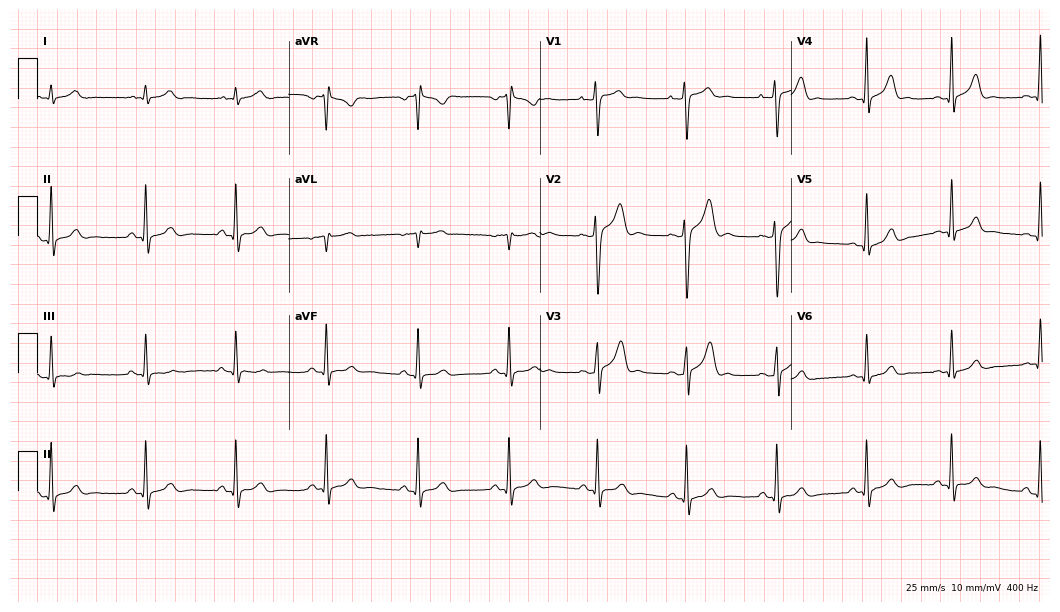
Resting 12-lead electrocardiogram. Patient: a 23-year-old man. Read as a normal ECG.